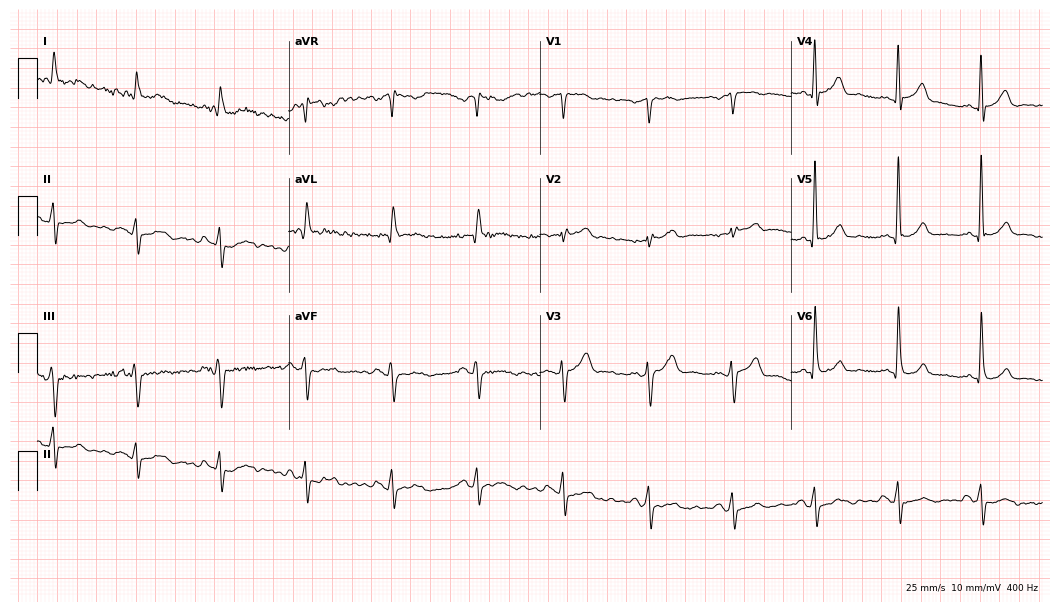
12-lead ECG from a 62-year-old man. No first-degree AV block, right bundle branch block, left bundle branch block, sinus bradycardia, atrial fibrillation or sinus tachycardia recorded for this tracing. Findings outside these six are not listed.